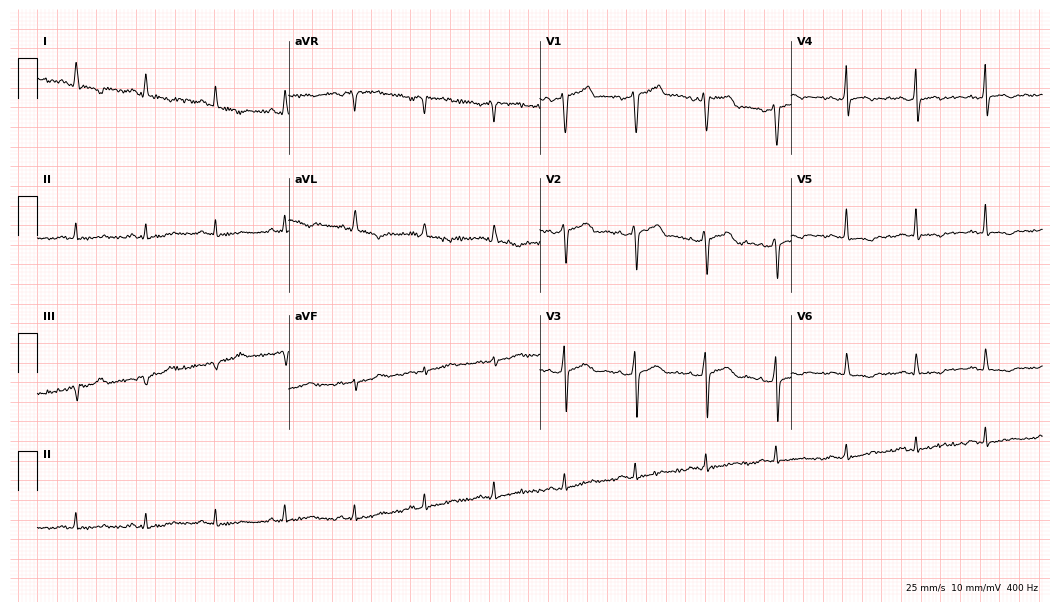
12-lead ECG (10.2-second recording at 400 Hz) from a 39-year-old man. Screened for six findings — first-degree AV block, right bundle branch block, left bundle branch block, sinus bradycardia, atrial fibrillation, sinus tachycardia — none is recorded. Other findings, if any, are not listed.